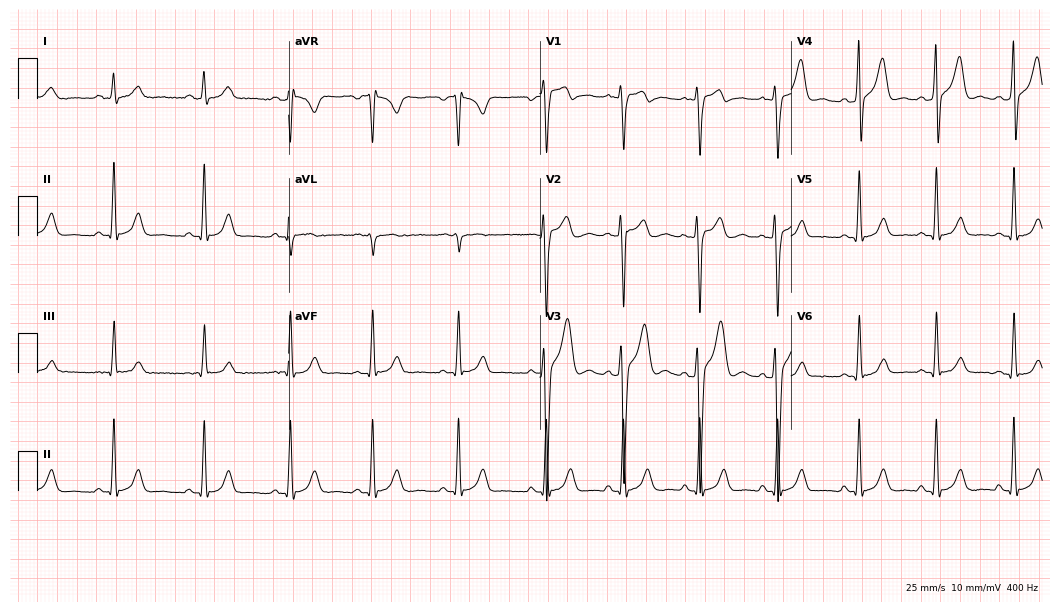
Electrocardiogram, a male, 24 years old. Overall reading on record: normal ECG.